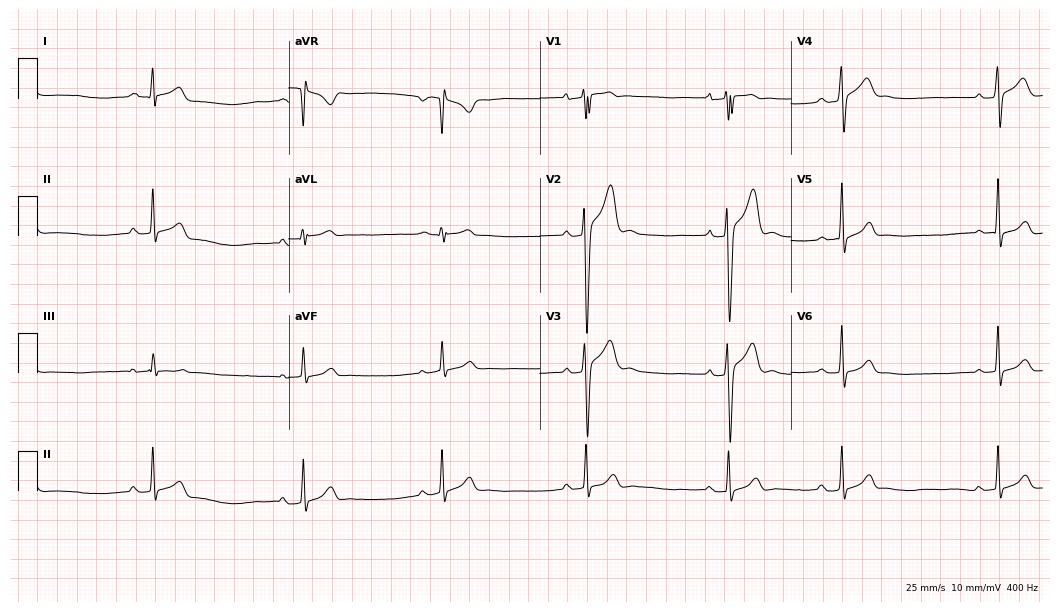
ECG (10.2-second recording at 400 Hz) — a 20-year-old man. Findings include first-degree AV block, sinus bradycardia (a sinus rate of 50 beats per minute or less).